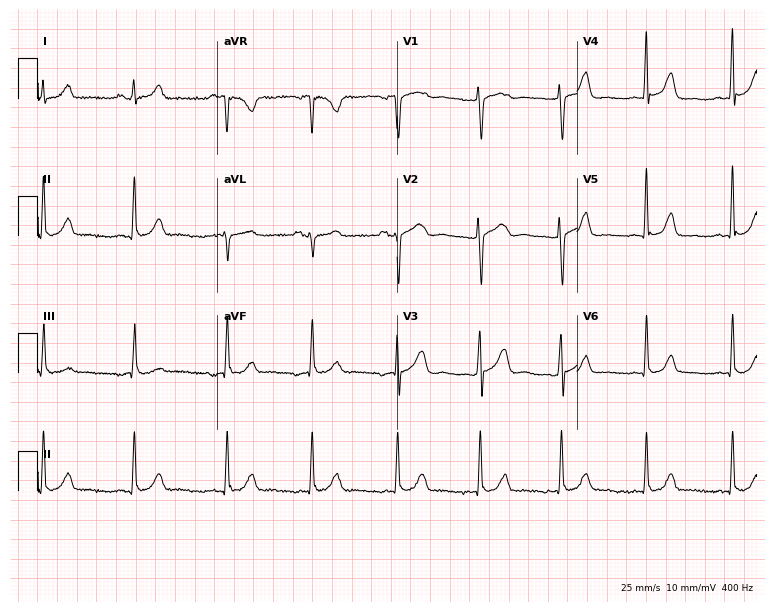
Standard 12-lead ECG recorded from a 52-year-old female. Read as a normal ECG.